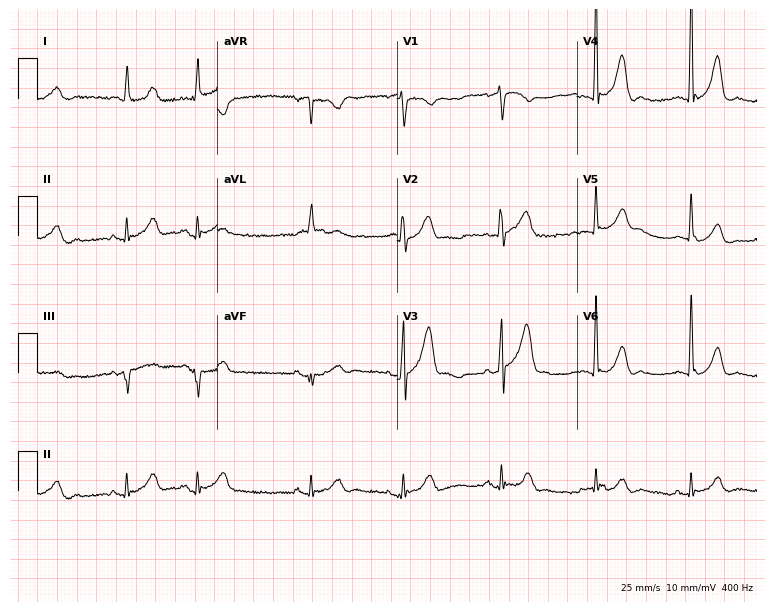
Resting 12-lead electrocardiogram. Patient: a man, 72 years old. Read as a normal ECG.